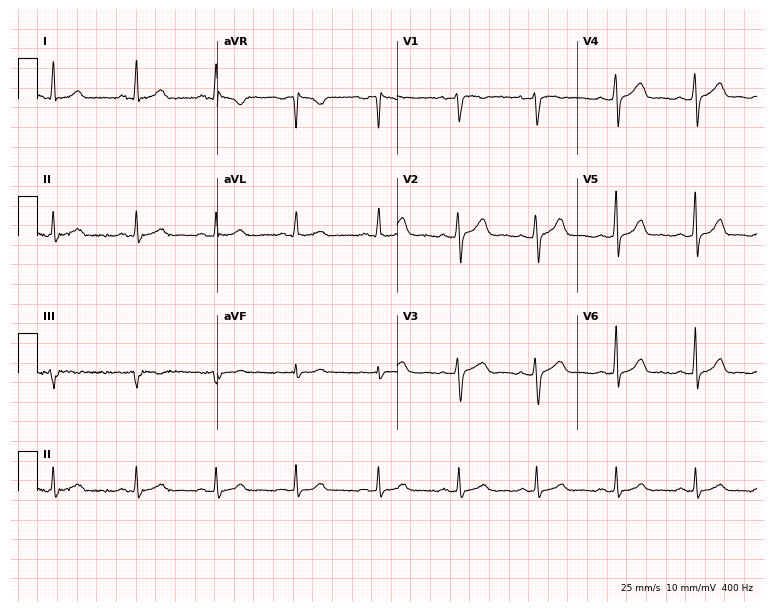
Resting 12-lead electrocardiogram (7.3-second recording at 400 Hz). Patient: a female, 33 years old. Read as a normal ECG.